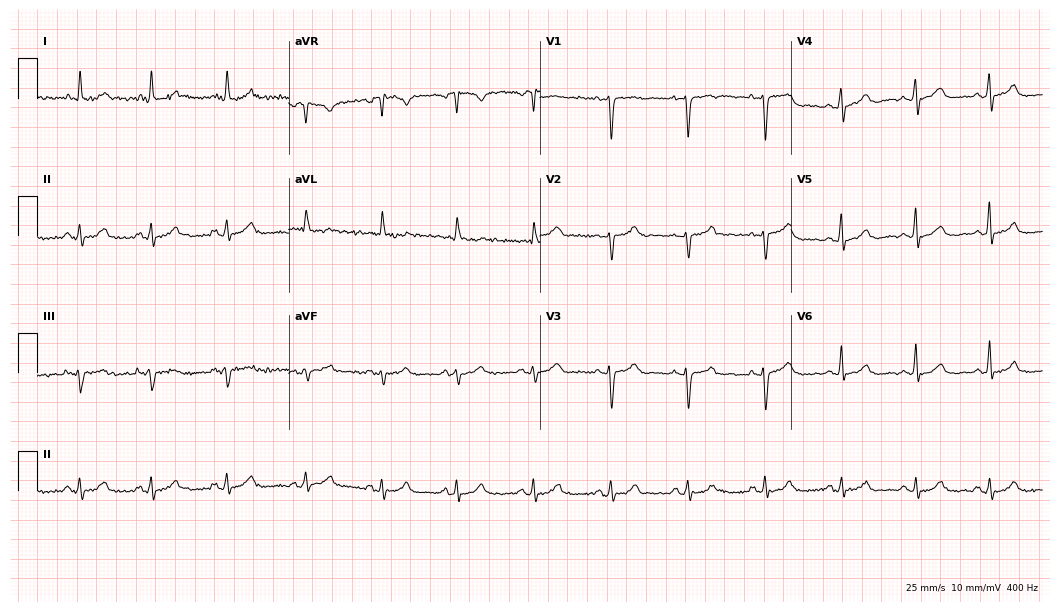
12-lead ECG from a 41-year-old female. Labelled as a normal ECG.